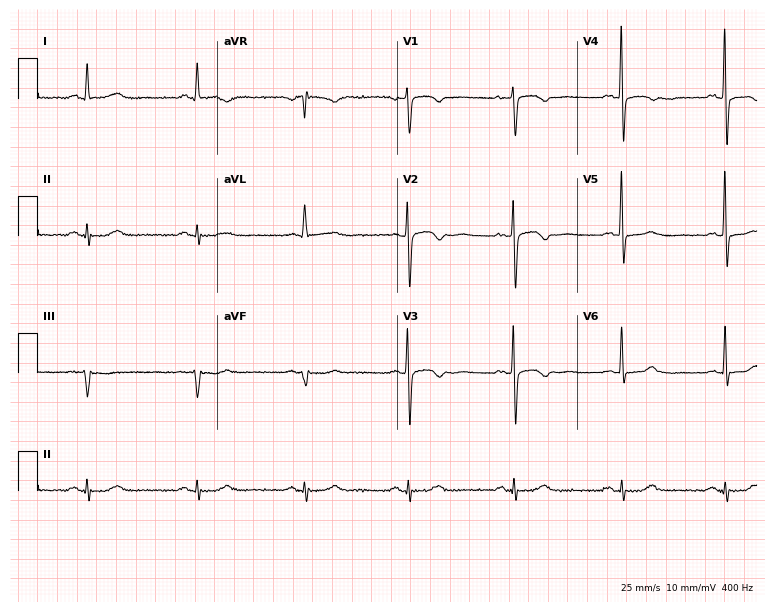
Resting 12-lead electrocardiogram. Patient: a female, 73 years old. Read as a normal ECG.